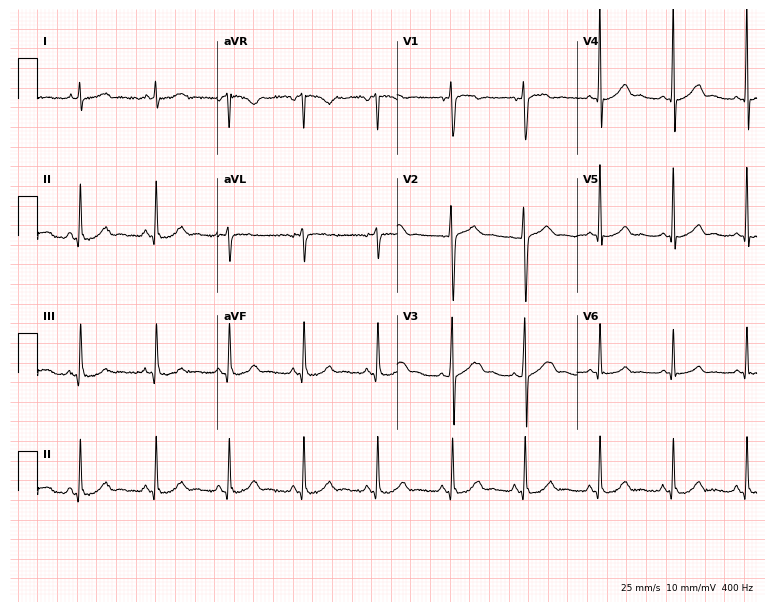
12-lead ECG from a male patient, 32 years old (7.3-second recording at 400 Hz). Recorded interpretation: within normal limits.